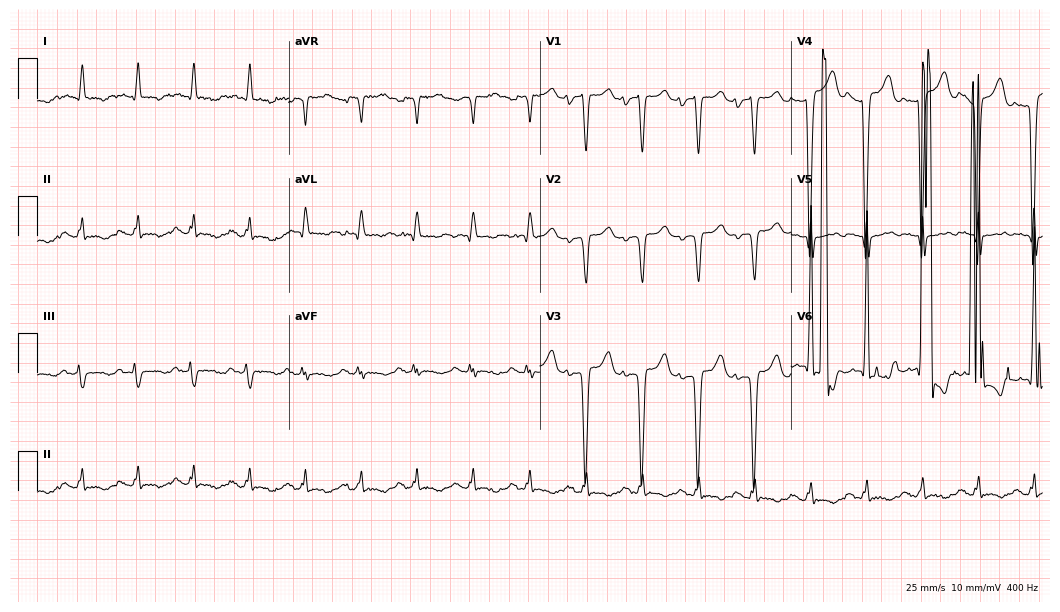
12-lead ECG from a 72-year-old male (10.2-second recording at 400 Hz). No first-degree AV block, right bundle branch block, left bundle branch block, sinus bradycardia, atrial fibrillation or sinus tachycardia recorded for this tracing.